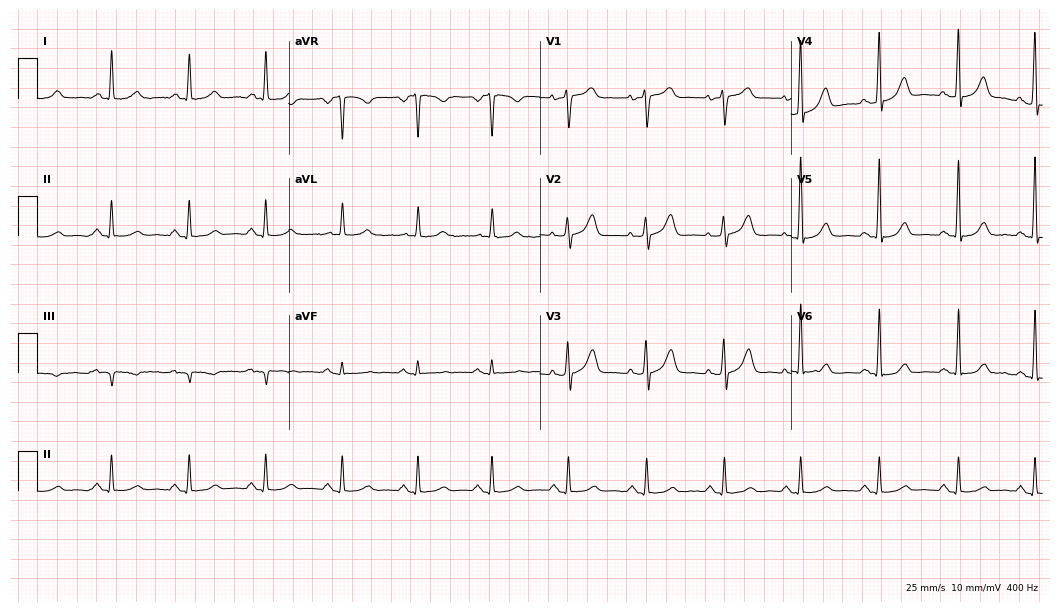
Standard 12-lead ECG recorded from a 51-year-old female patient (10.2-second recording at 400 Hz). Read as a normal ECG.